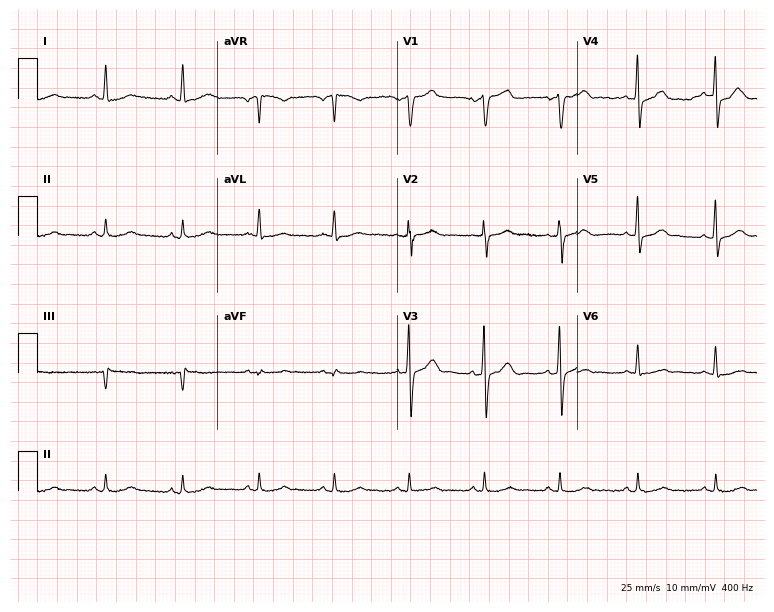
Electrocardiogram, a 57-year-old man. Of the six screened findings (first-degree AV block, right bundle branch block (RBBB), left bundle branch block (LBBB), sinus bradycardia, atrial fibrillation (AF), sinus tachycardia), none is recorded.